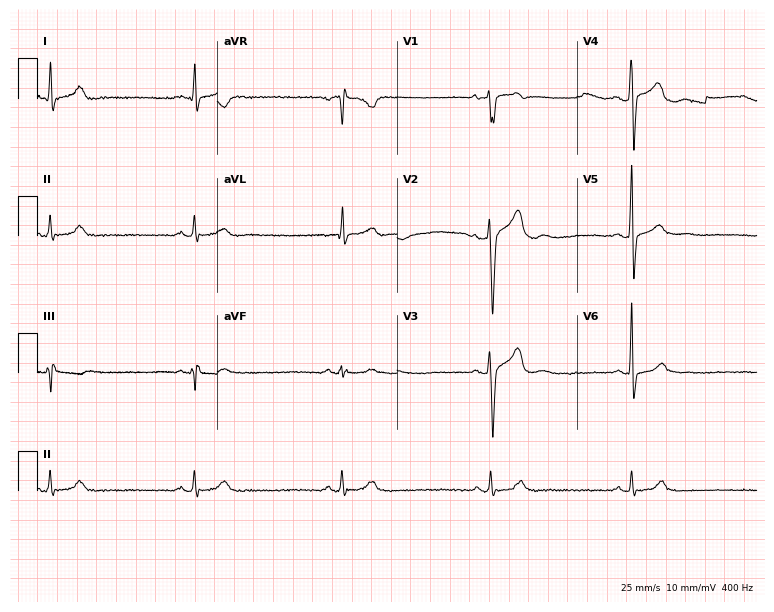
12-lead ECG from a female, 32 years old. Screened for six findings — first-degree AV block, right bundle branch block, left bundle branch block, sinus bradycardia, atrial fibrillation, sinus tachycardia — none is recorded.